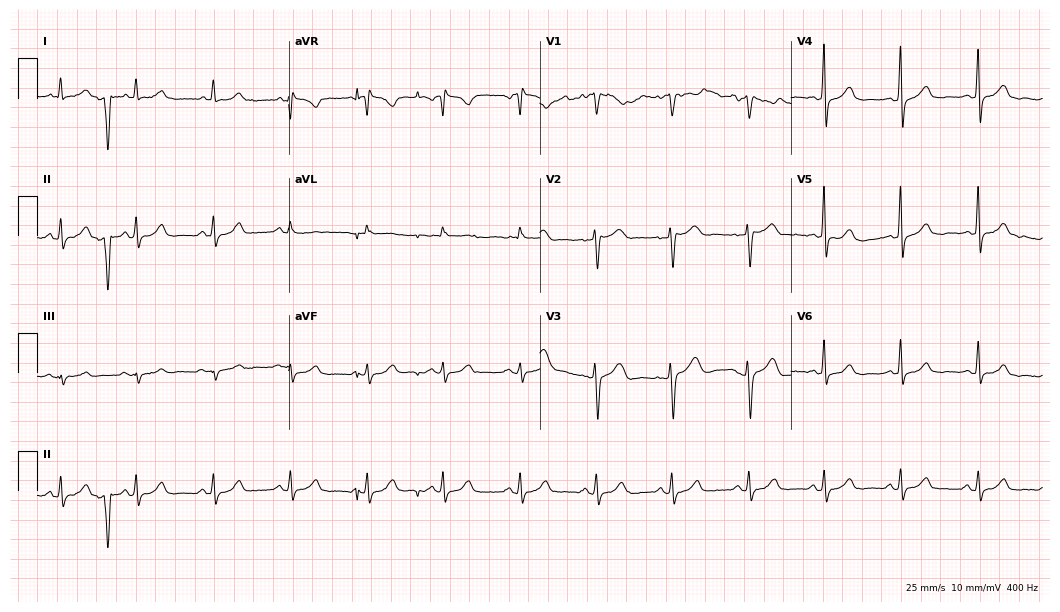
Resting 12-lead electrocardiogram. Patient: a 47-year-old female. Read as a normal ECG.